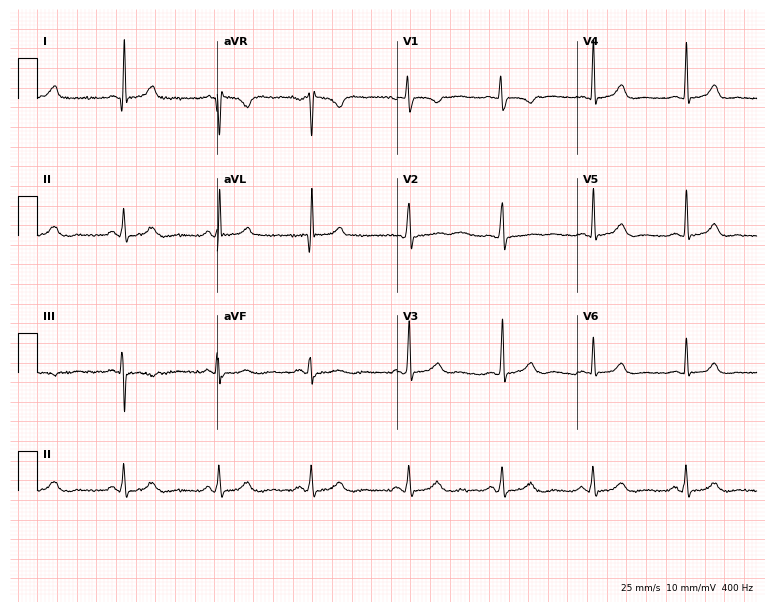
Electrocardiogram, a female, 43 years old. Overall reading on record: normal ECG.